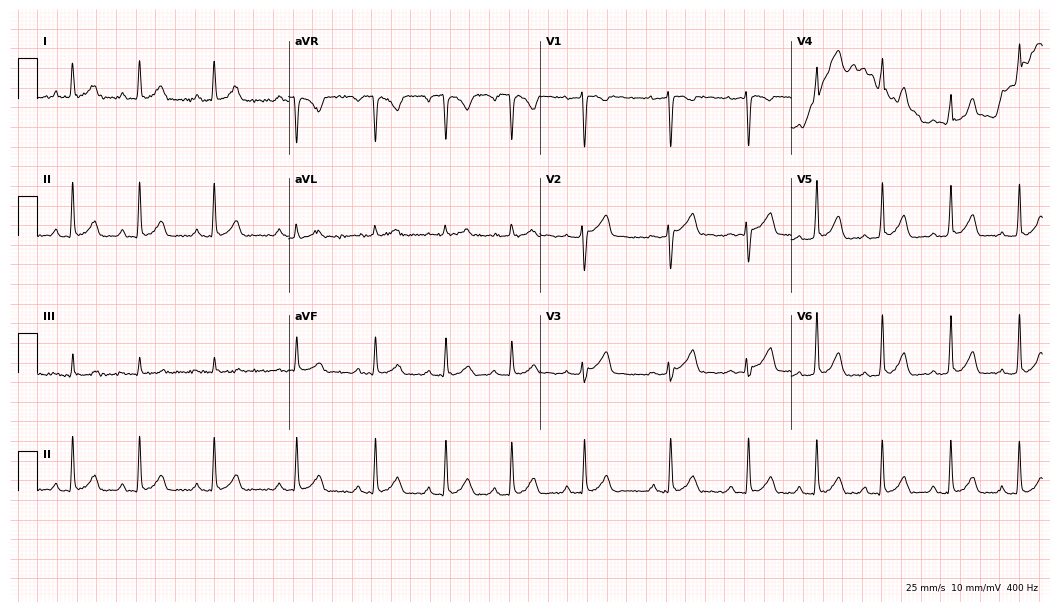
Resting 12-lead electrocardiogram. Patient: a 29-year-old female. Read as a normal ECG.